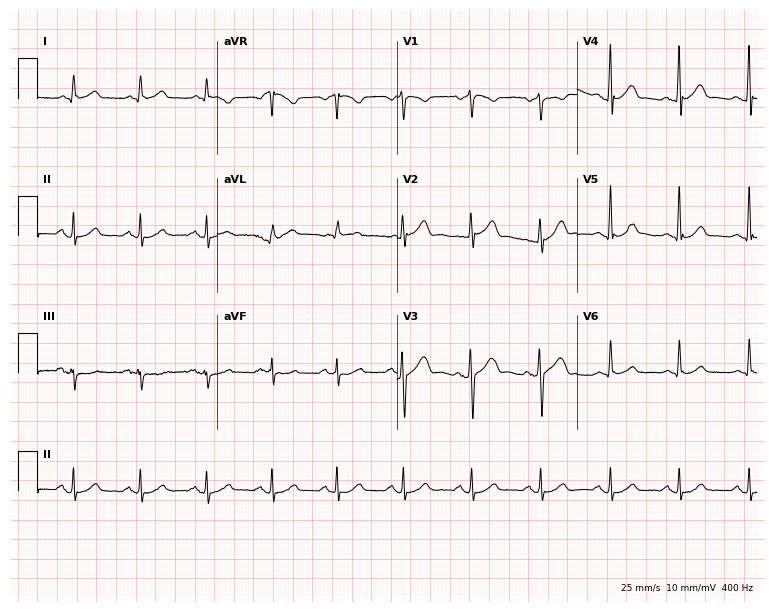
Standard 12-lead ECG recorded from a 52-year-old male (7.3-second recording at 400 Hz). Read as a normal ECG.